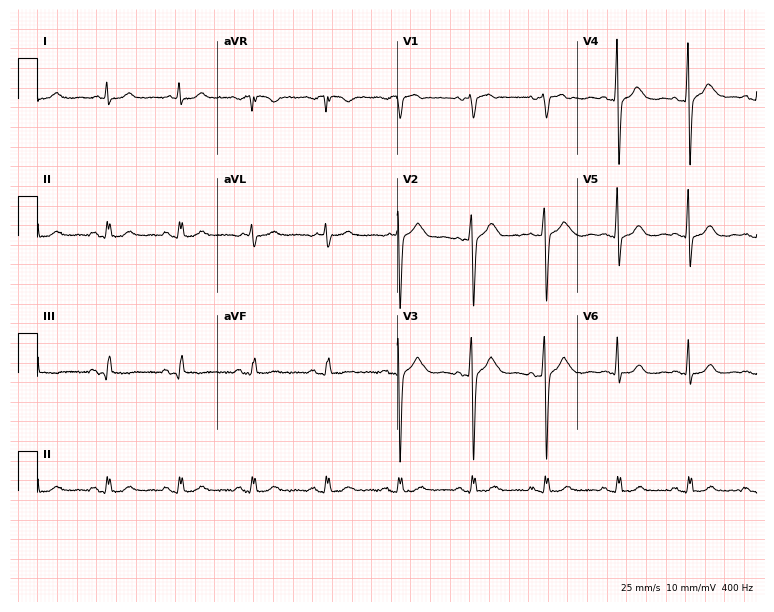
ECG — a female patient, 59 years old. Screened for six findings — first-degree AV block, right bundle branch block, left bundle branch block, sinus bradycardia, atrial fibrillation, sinus tachycardia — none is recorded.